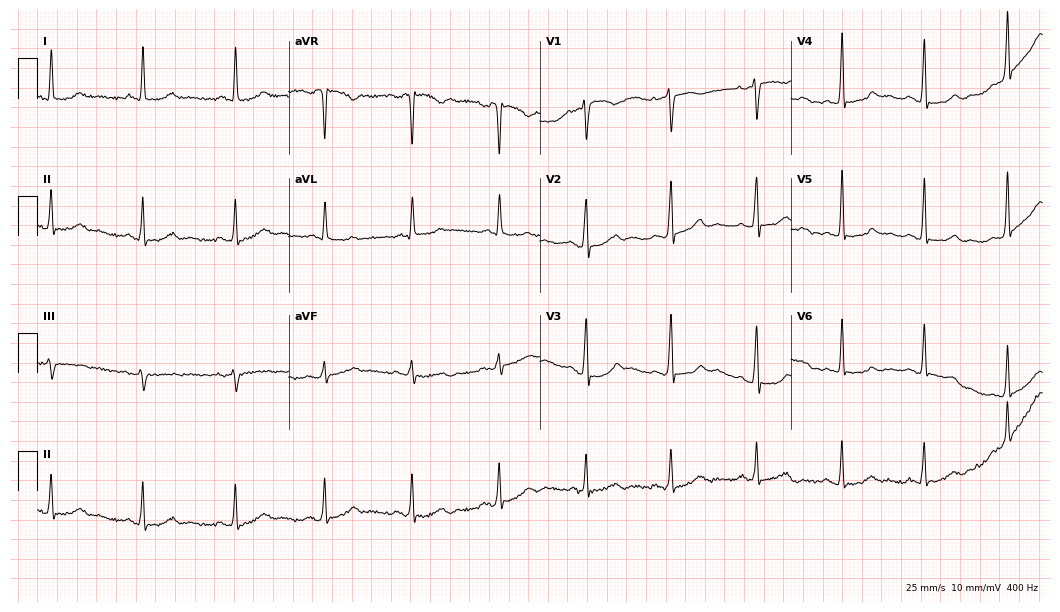
Standard 12-lead ECG recorded from a female, 57 years old. Read as a normal ECG.